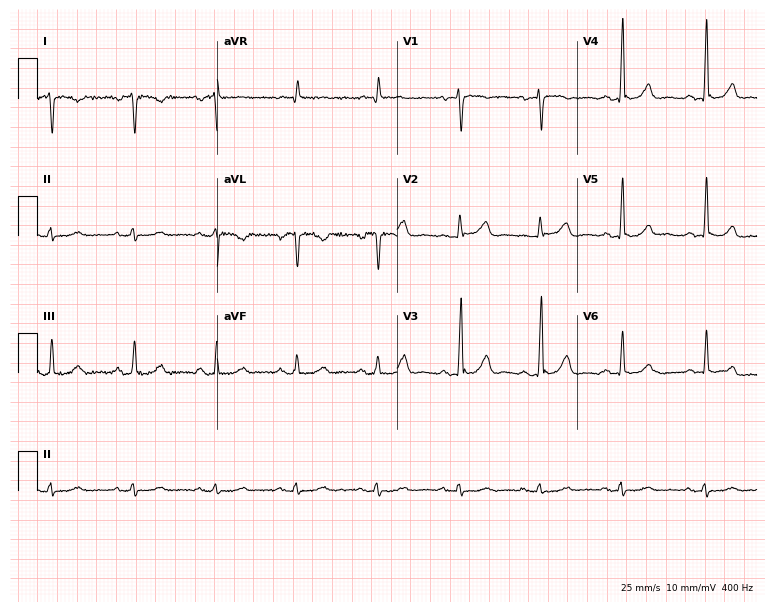
ECG (7.3-second recording at 400 Hz) — a 50-year-old female patient. Screened for six findings — first-degree AV block, right bundle branch block, left bundle branch block, sinus bradycardia, atrial fibrillation, sinus tachycardia — none is recorded. Findings outside these six are not listed.